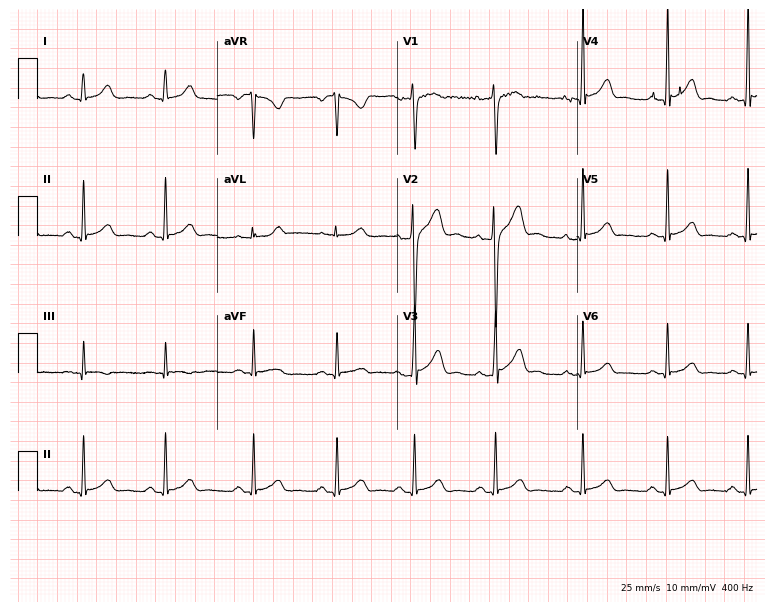
Standard 12-lead ECG recorded from a man, 30 years old (7.3-second recording at 400 Hz). None of these six findings is recorded: first-degree AV block, right bundle branch block (RBBB), left bundle branch block (LBBB), sinus bradycardia, atrial fibrillation (AF), sinus tachycardia. Other findings, if any, are not listed.